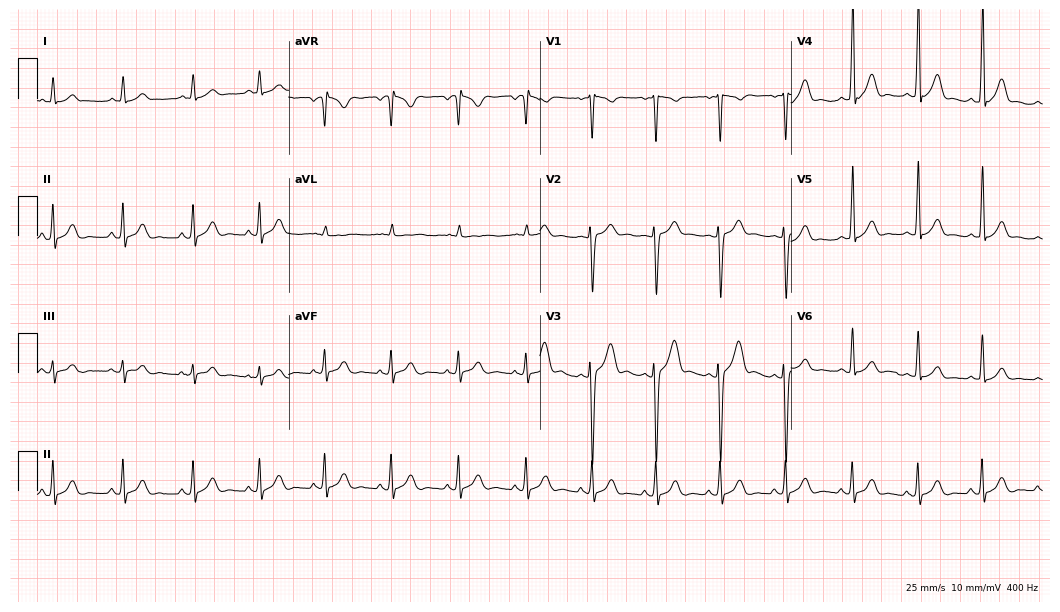
12-lead ECG from a 17-year-old male patient. Recorded interpretation: within normal limits.